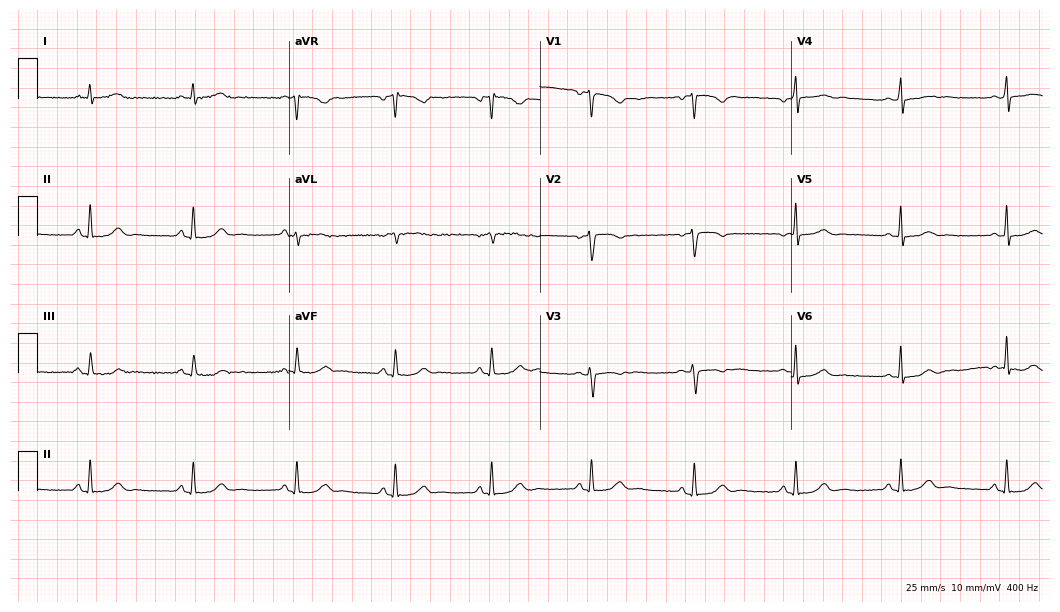
ECG (10.2-second recording at 400 Hz) — a woman, 45 years old. Labelled as a normal ECG.